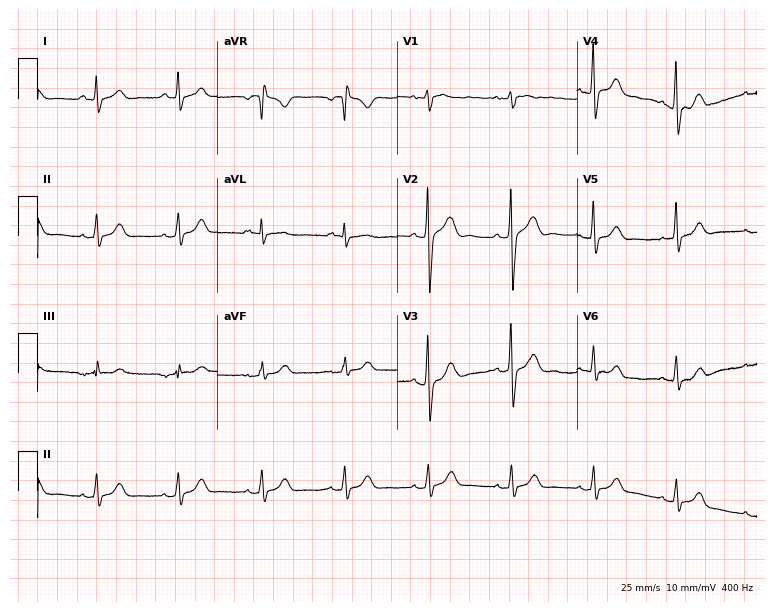
Electrocardiogram, a 56-year-old man. Overall reading on record: normal ECG.